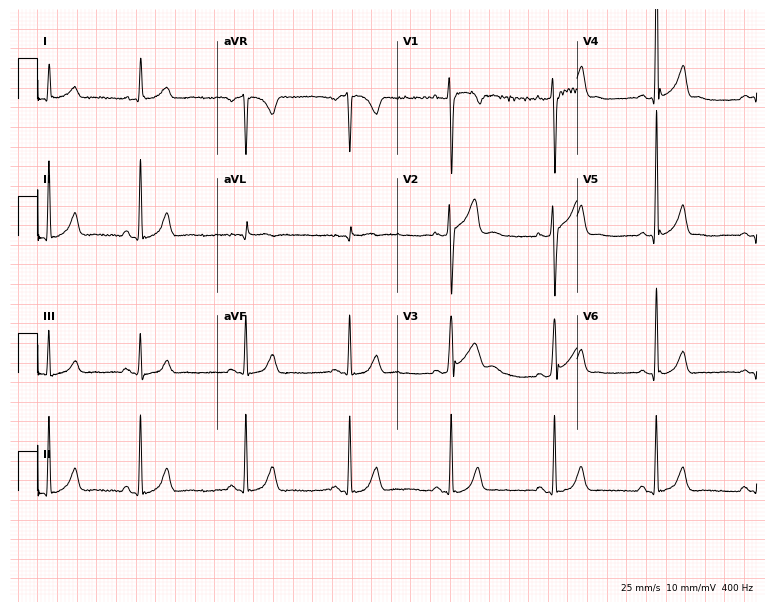
ECG — a 19-year-old man. Screened for six findings — first-degree AV block, right bundle branch block (RBBB), left bundle branch block (LBBB), sinus bradycardia, atrial fibrillation (AF), sinus tachycardia — none is recorded.